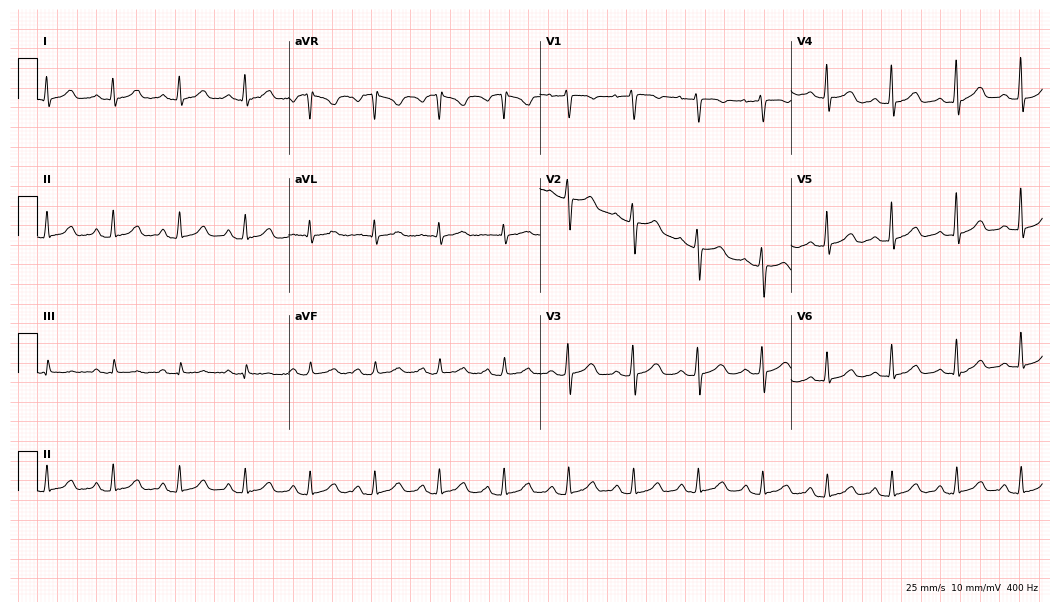
12-lead ECG from a female patient, 41 years old. Labelled as a normal ECG.